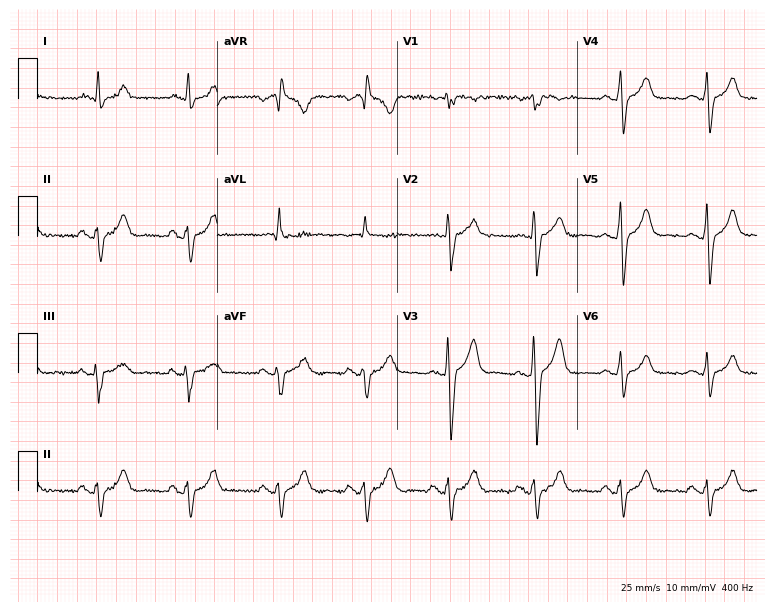
Resting 12-lead electrocardiogram. Patient: a 33-year-old male. None of these six findings is recorded: first-degree AV block, right bundle branch block, left bundle branch block, sinus bradycardia, atrial fibrillation, sinus tachycardia. Findings outside these six are not listed.